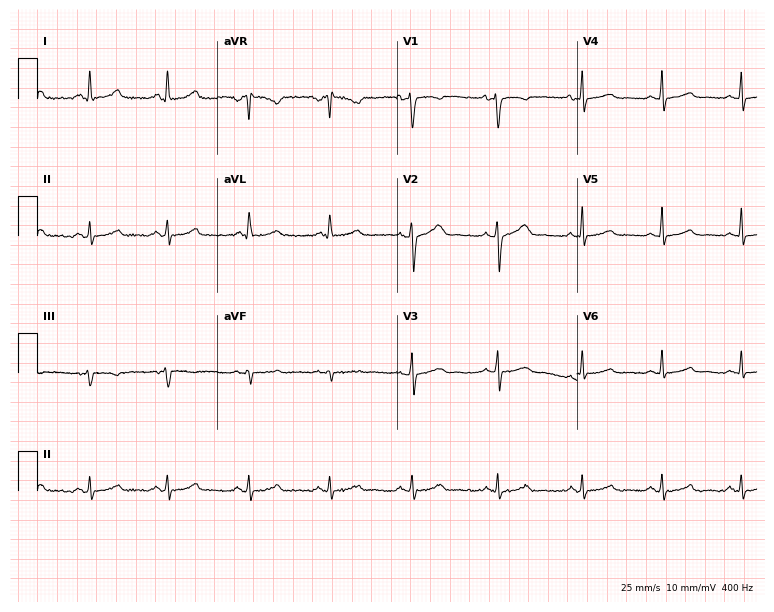
Electrocardiogram, a 21-year-old woman. Of the six screened findings (first-degree AV block, right bundle branch block (RBBB), left bundle branch block (LBBB), sinus bradycardia, atrial fibrillation (AF), sinus tachycardia), none is recorded.